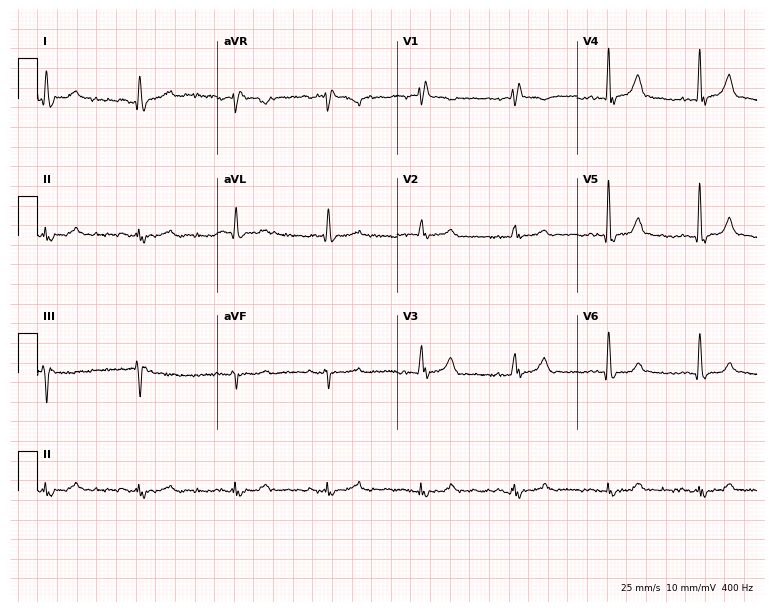
Standard 12-lead ECG recorded from a 71-year-old male (7.3-second recording at 400 Hz). The tracing shows right bundle branch block.